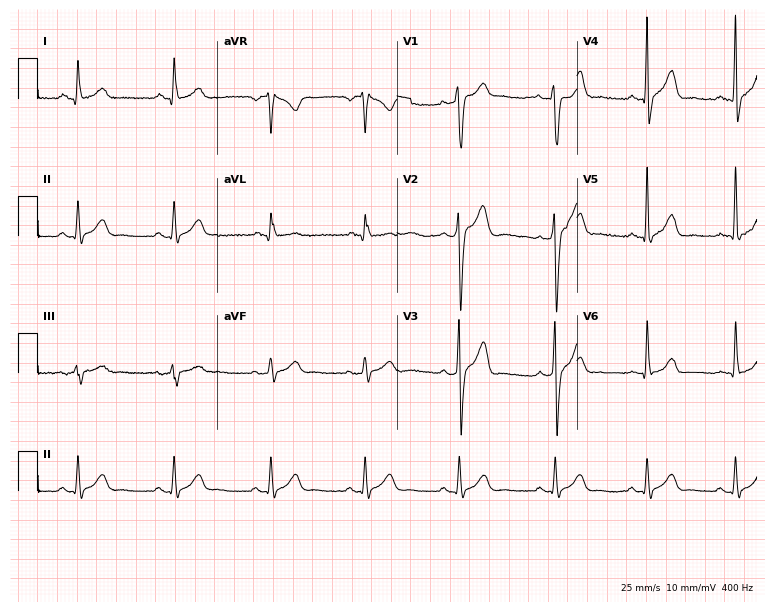
Electrocardiogram, a 29-year-old male patient. Overall reading on record: normal ECG.